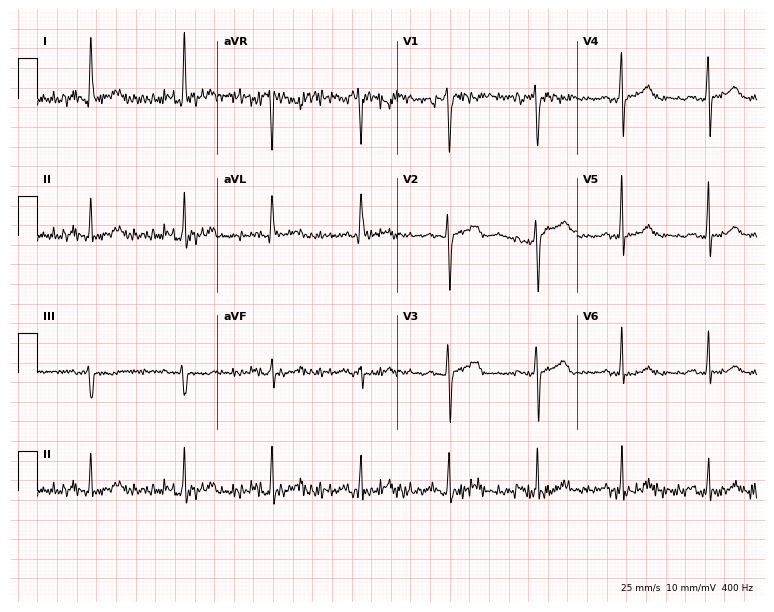
Resting 12-lead electrocardiogram. Patient: a 47-year-old woman. None of these six findings is recorded: first-degree AV block, right bundle branch block, left bundle branch block, sinus bradycardia, atrial fibrillation, sinus tachycardia.